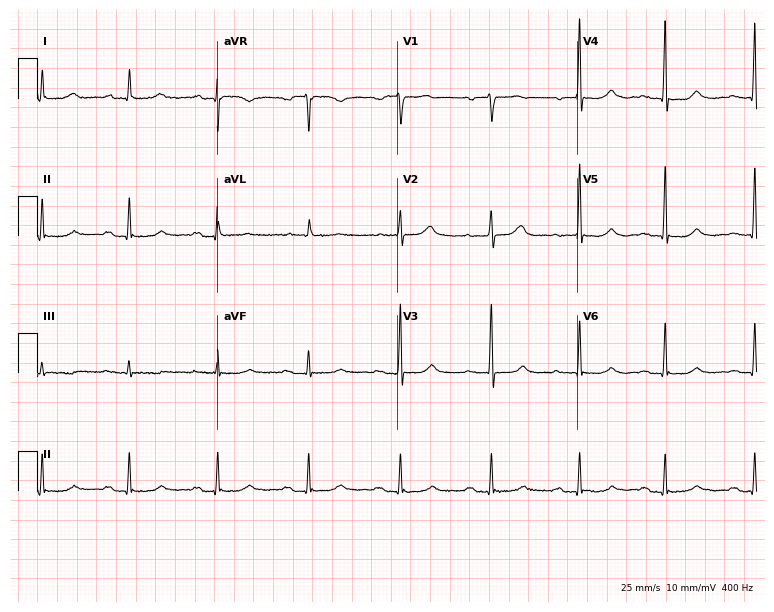
Standard 12-lead ECG recorded from a 54-year-old female patient (7.3-second recording at 400 Hz). The tracing shows first-degree AV block.